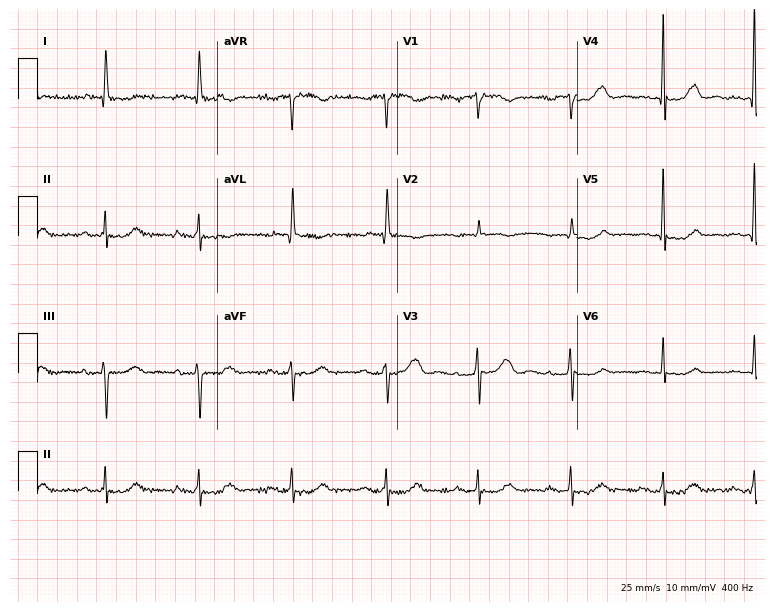
Resting 12-lead electrocardiogram (7.3-second recording at 400 Hz). Patient: a woman, 83 years old. Read as a normal ECG.